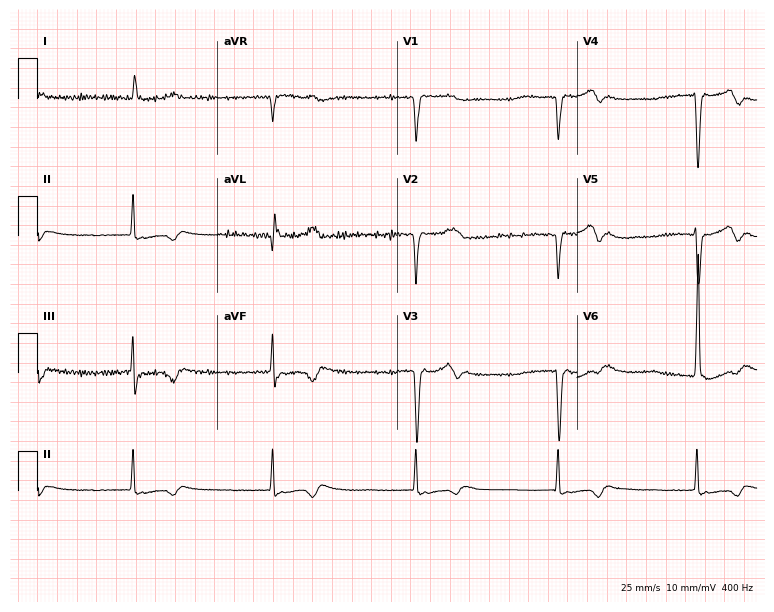
Resting 12-lead electrocardiogram. Patient: a 74-year-old female. None of these six findings is recorded: first-degree AV block, right bundle branch block, left bundle branch block, sinus bradycardia, atrial fibrillation, sinus tachycardia.